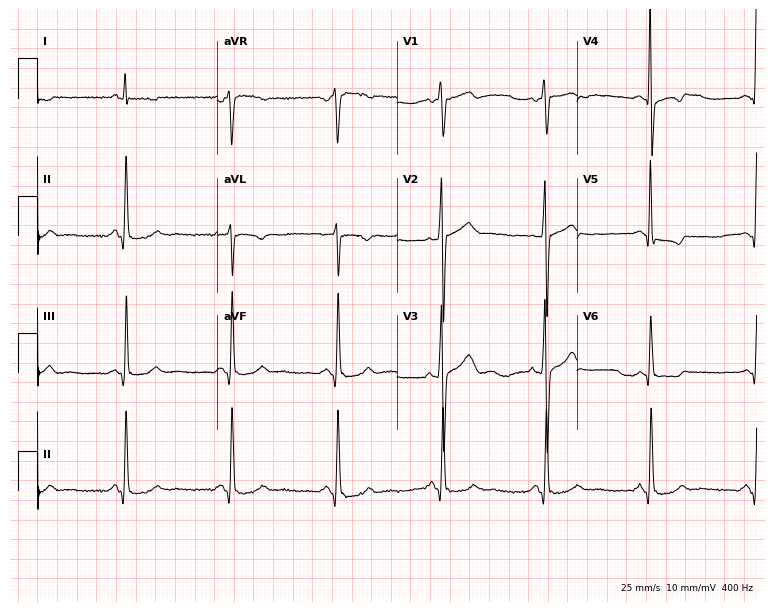
12-lead ECG from a 47-year-old male patient (7.3-second recording at 400 Hz). No first-degree AV block, right bundle branch block, left bundle branch block, sinus bradycardia, atrial fibrillation or sinus tachycardia recorded for this tracing. Other findings, if any, are not listed.